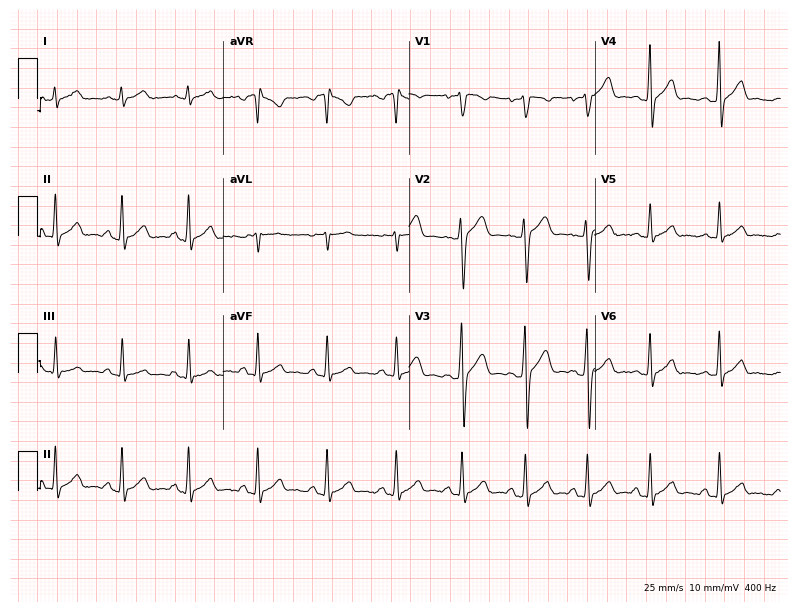
12-lead ECG from a man, 26 years old. Recorded interpretation: within normal limits.